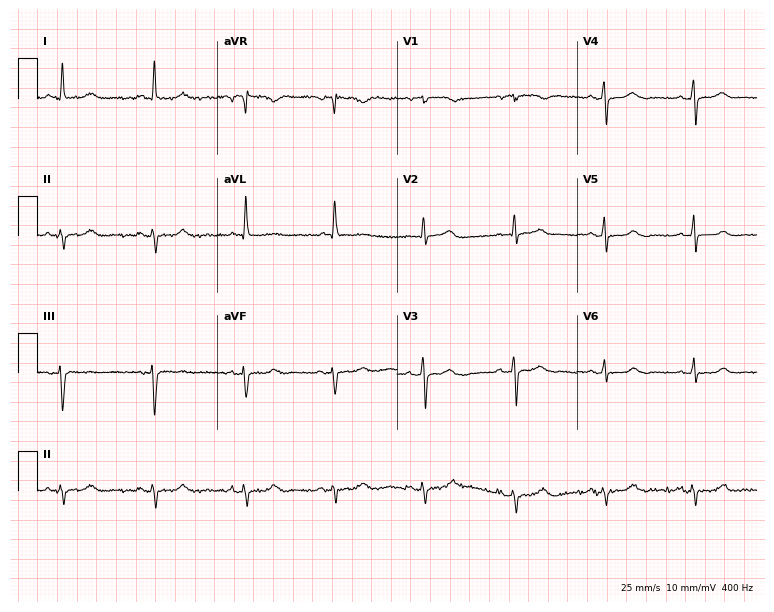
Electrocardiogram (7.3-second recording at 400 Hz), a female patient, 72 years old. Of the six screened findings (first-degree AV block, right bundle branch block (RBBB), left bundle branch block (LBBB), sinus bradycardia, atrial fibrillation (AF), sinus tachycardia), none is recorded. Findings outside these six are not listed.